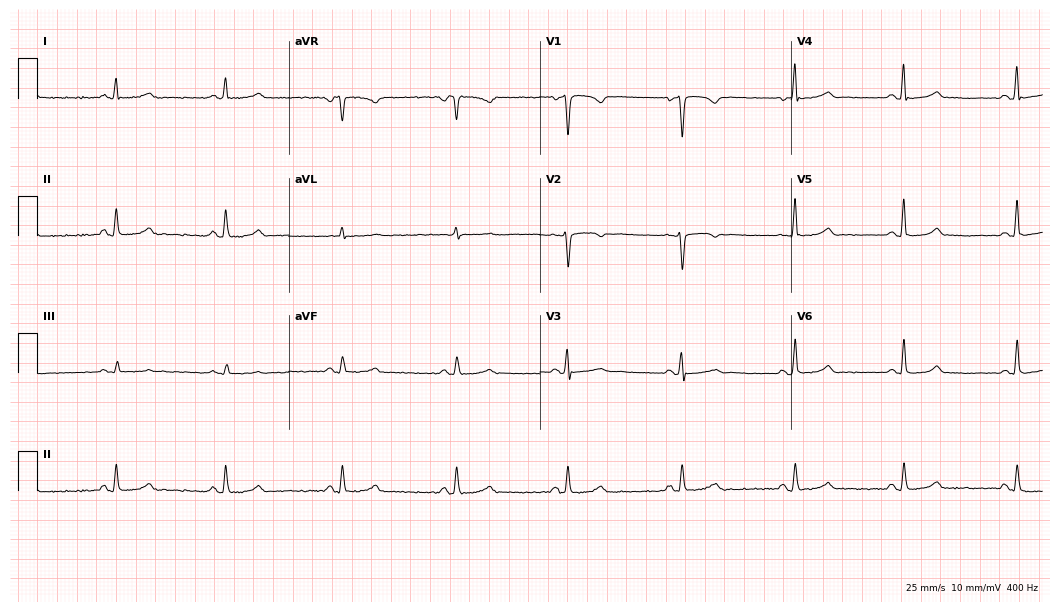
Resting 12-lead electrocardiogram. Patient: a female, 31 years old. Read as a normal ECG.